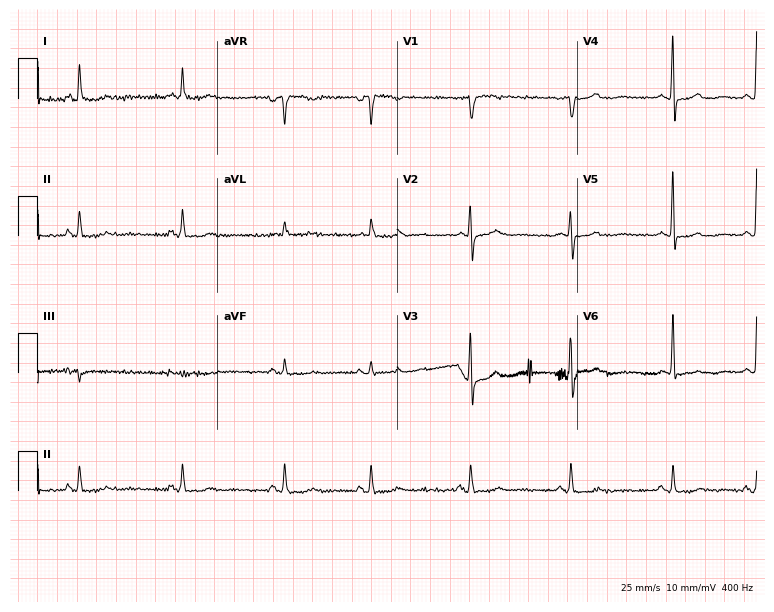
12-lead ECG (7.3-second recording at 400 Hz) from a woman, 69 years old. Screened for six findings — first-degree AV block, right bundle branch block, left bundle branch block, sinus bradycardia, atrial fibrillation, sinus tachycardia — none is recorded.